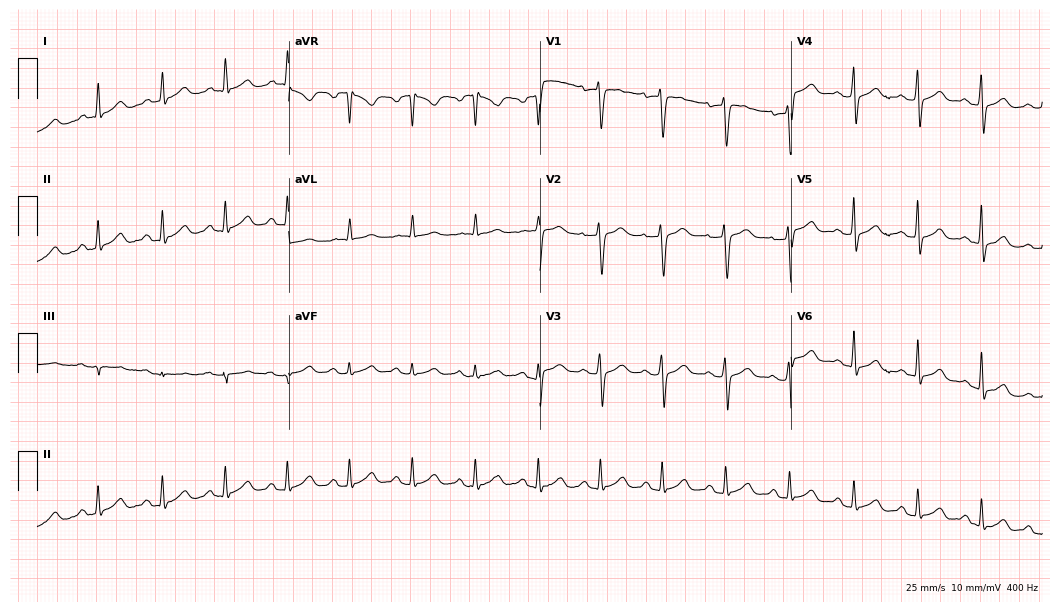
ECG (10.2-second recording at 400 Hz) — a 51-year-old male. Labelled as a normal ECG.